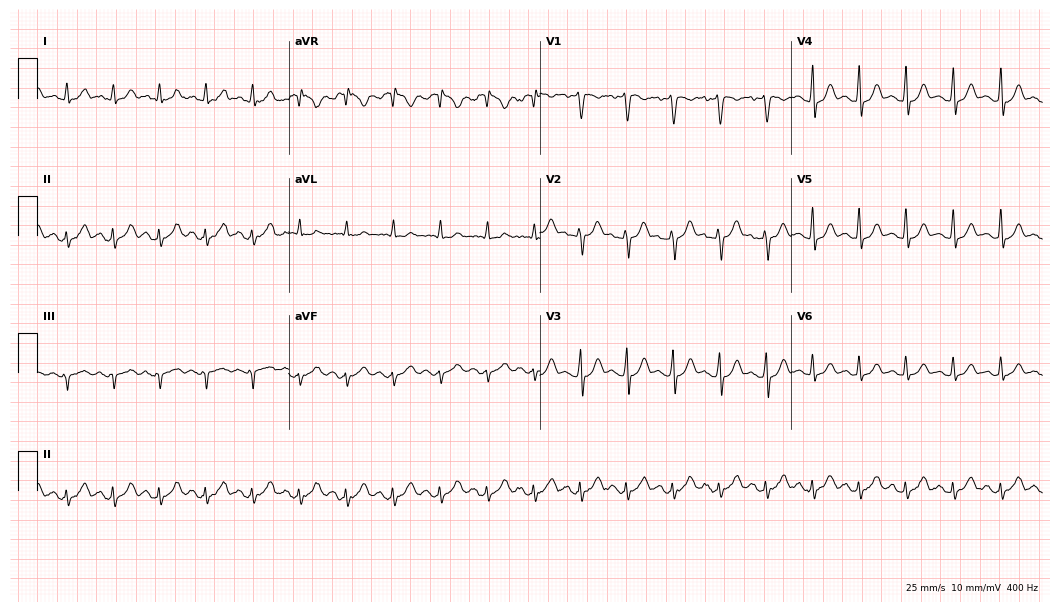
Standard 12-lead ECG recorded from a male patient, 37 years old. The tracing shows sinus tachycardia (a sinus rate of 100 beats per minute or more).